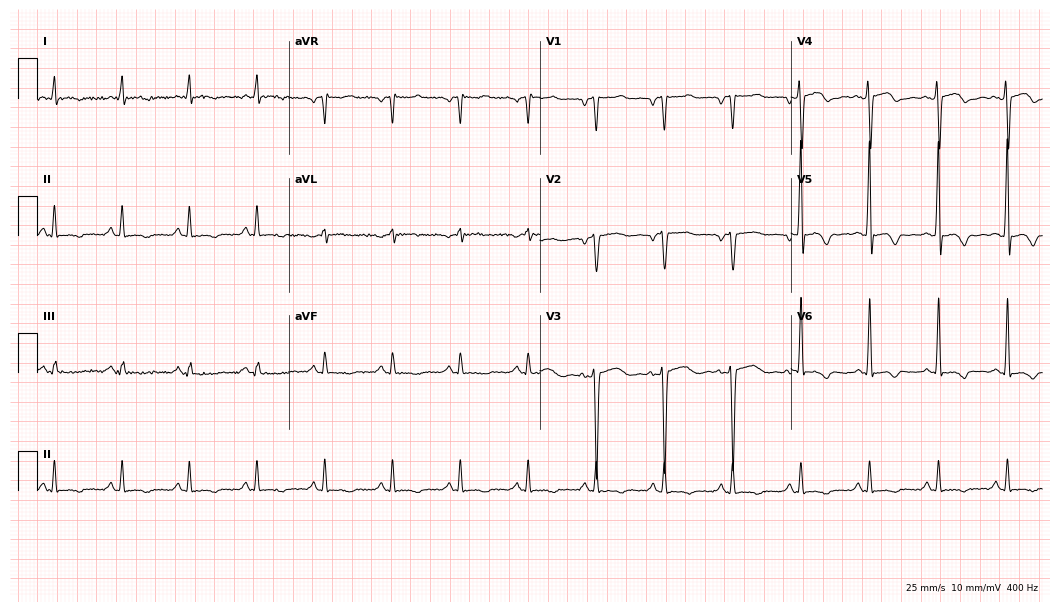
Electrocardiogram, a 45-year-old male patient. Of the six screened findings (first-degree AV block, right bundle branch block, left bundle branch block, sinus bradycardia, atrial fibrillation, sinus tachycardia), none is recorded. Other findings, if any, are not listed.